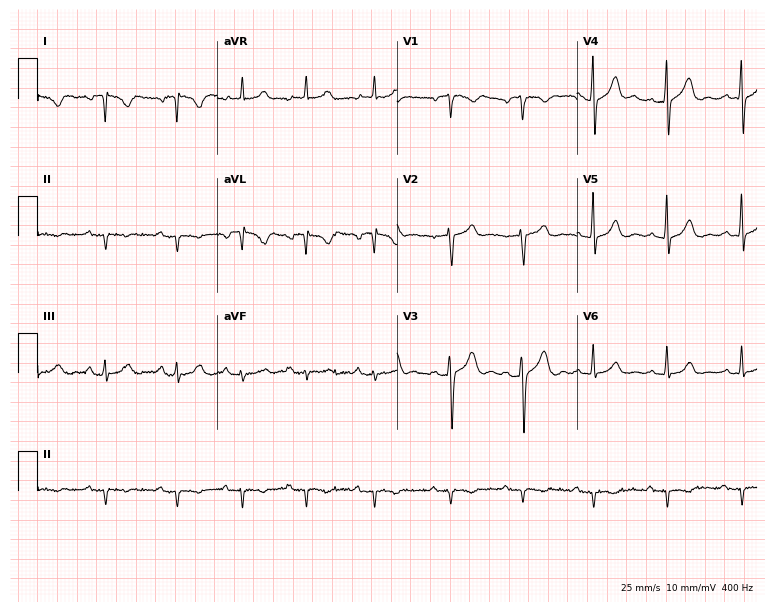
12-lead ECG from a 46-year-old male (7.3-second recording at 400 Hz). No first-degree AV block, right bundle branch block, left bundle branch block, sinus bradycardia, atrial fibrillation or sinus tachycardia recorded for this tracing. Findings outside these six are not listed.